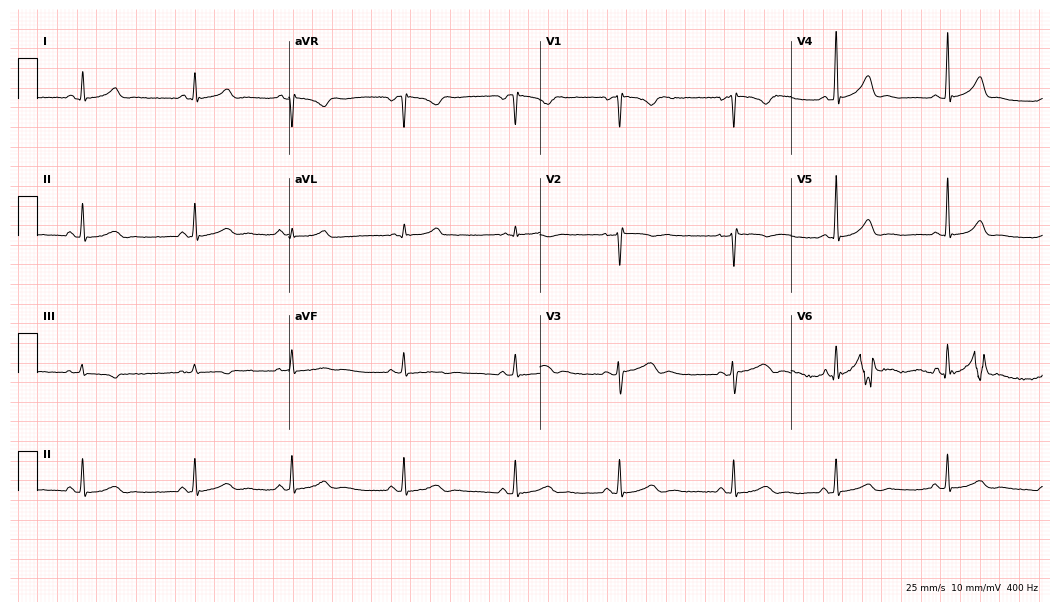
Resting 12-lead electrocardiogram (10.2-second recording at 400 Hz). Patient: a female, 33 years old. None of these six findings is recorded: first-degree AV block, right bundle branch block, left bundle branch block, sinus bradycardia, atrial fibrillation, sinus tachycardia.